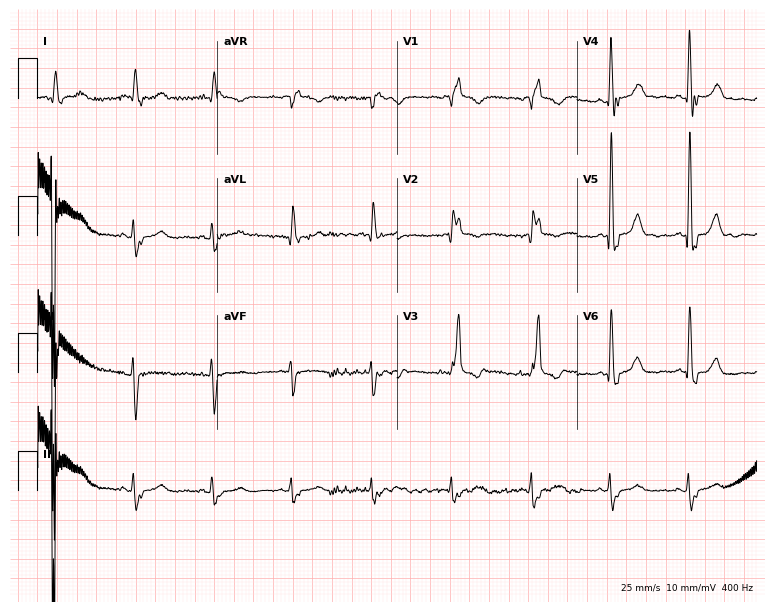
Resting 12-lead electrocardiogram (7.3-second recording at 400 Hz). Patient: a female, 76 years old. The tracing shows right bundle branch block.